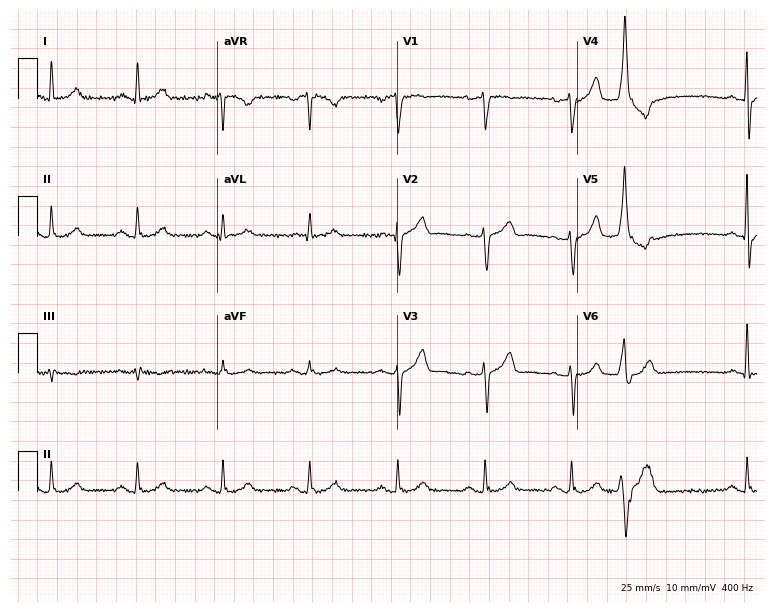
12-lead ECG (7.3-second recording at 400 Hz) from a man, 59 years old. Labelled as a normal ECG.